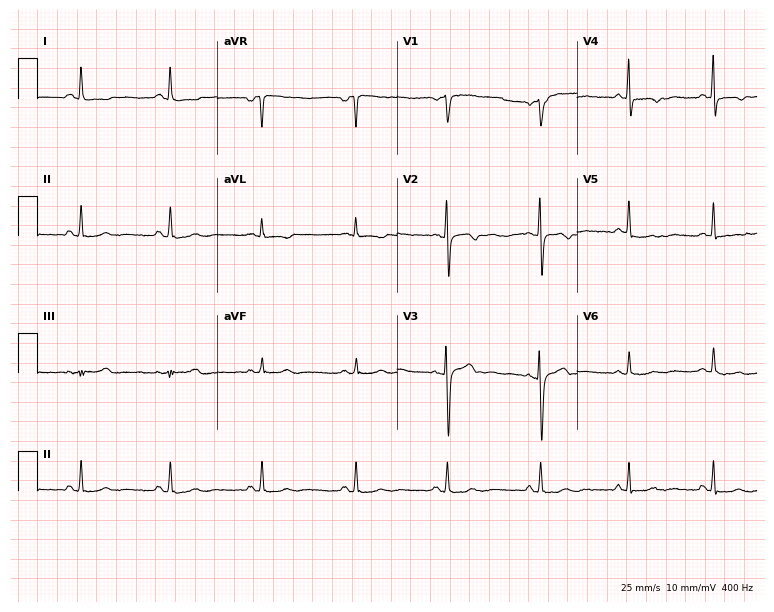
Resting 12-lead electrocardiogram. Patient: a 41-year-old woman. None of these six findings is recorded: first-degree AV block, right bundle branch block, left bundle branch block, sinus bradycardia, atrial fibrillation, sinus tachycardia. Other findings, if any, are not listed.